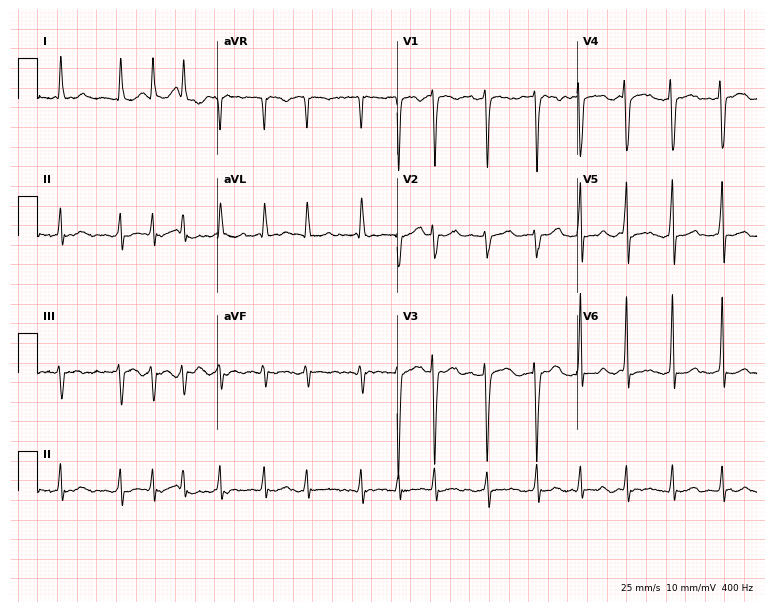
Electrocardiogram (7.3-second recording at 400 Hz), a 76-year-old woman. Interpretation includes atrial fibrillation (AF).